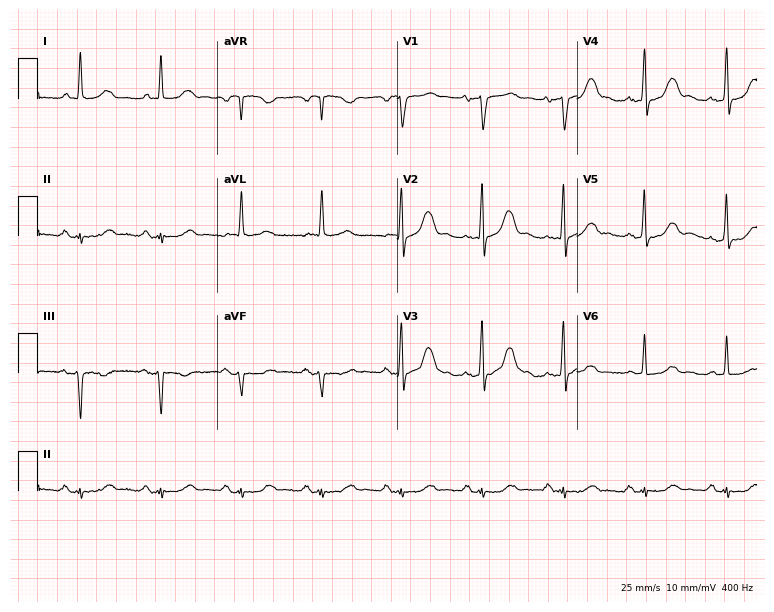
Standard 12-lead ECG recorded from a male, 69 years old. None of these six findings is recorded: first-degree AV block, right bundle branch block, left bundle branch block, sinus bradycardia, atrial fibrillation, sinus tachycardia.